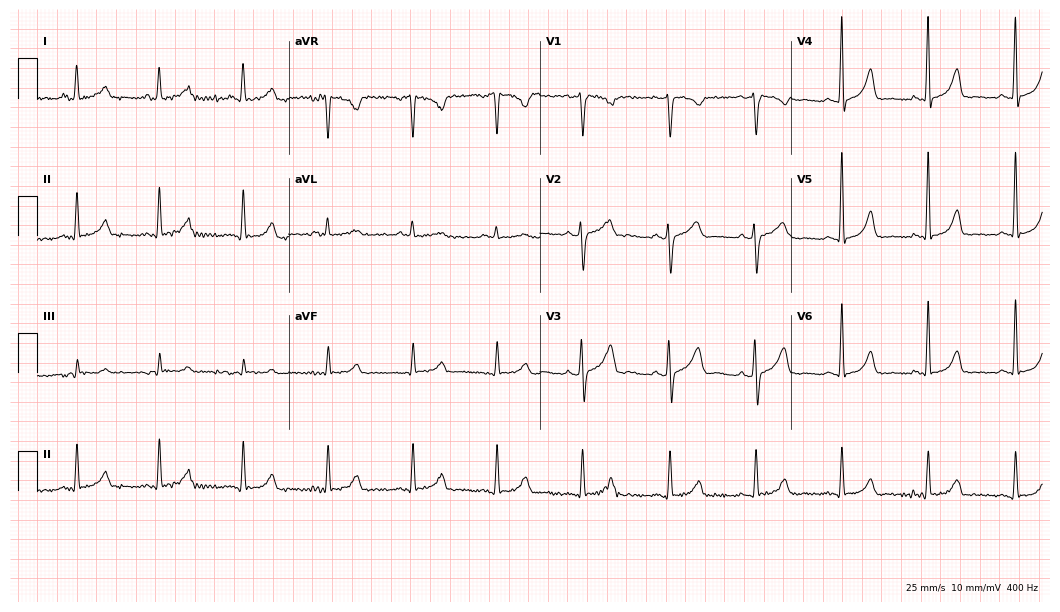
12-lead ECG from a 48-year-old female. Recorded interpretation: within normal limits.